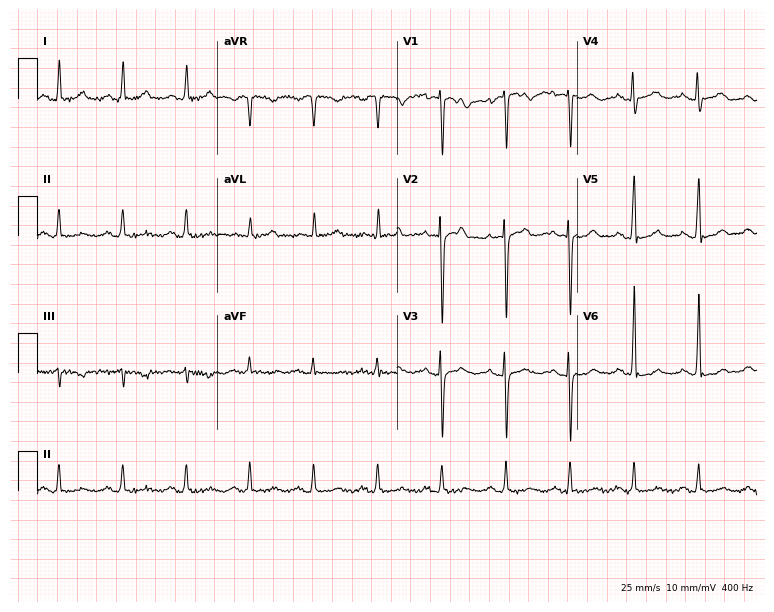
ECG (7.3-second recording at 400 Hz) — a 51-year-old female patient. Screened for six findings — first-degree AV block, right bundle branch block (RBBB), left bundle branch block (LBBB), sinus bradycardia, atrial fibrillation (AF), sinus tachycardia — none is recorded. Findings outside these six are not listed.